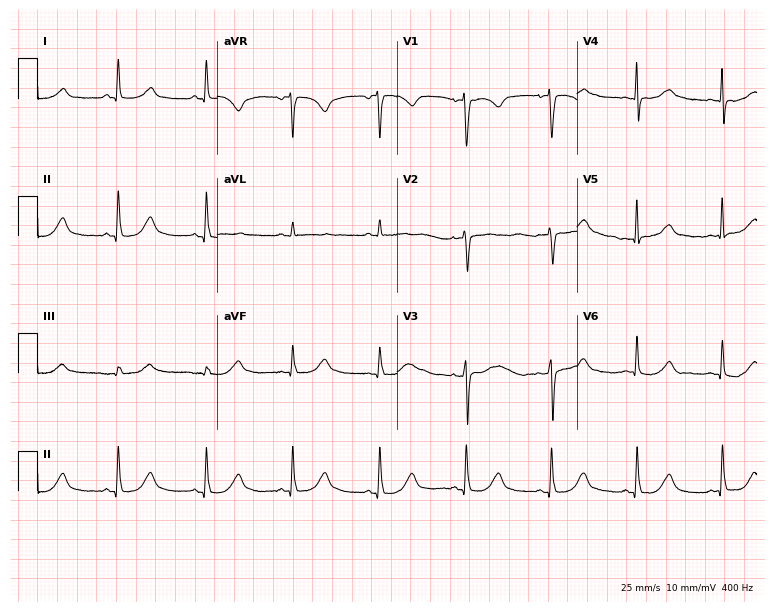
12-lead ECG from a 42-year-old female patient. Recorded interpretation: within normal limits.